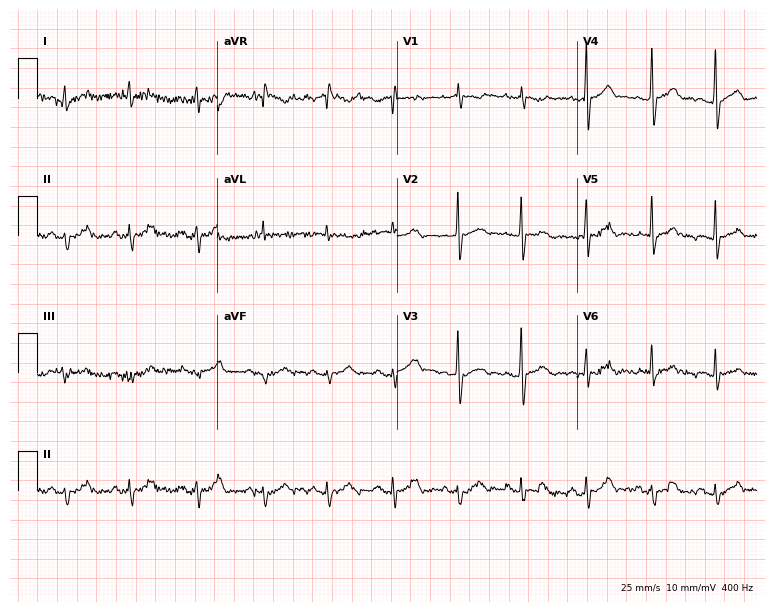
Standard 12-lead ECG recorded from a 57-year-old man (7.3-second recording at 400 Hz). None of these six findings is recorded: first-degree AV block, right bundle branch block (RBBB), left bundle branch block (LBBB), sinus bradycardia, atrial fibrillation (AF), sinus tachycardia. Findings outside these six are not listed.